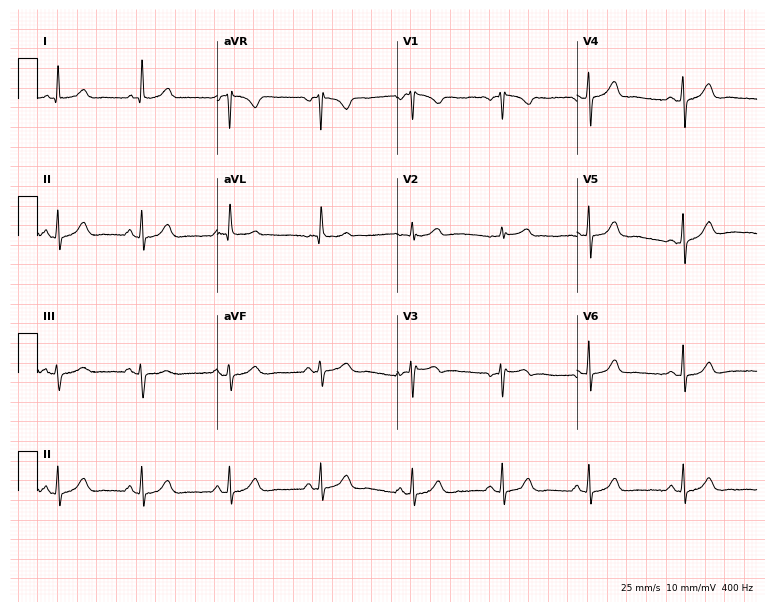
12-lead ECG from a 65-year-old female. Screened for six findings — first-degree AV block, right bundle branch block (RBBB), left bundle branch block (LBBB), sinus bradycardia, atrial fibrillation (AF), sinus tachycardia — none is recorded. Other findings, if any, are not listed.